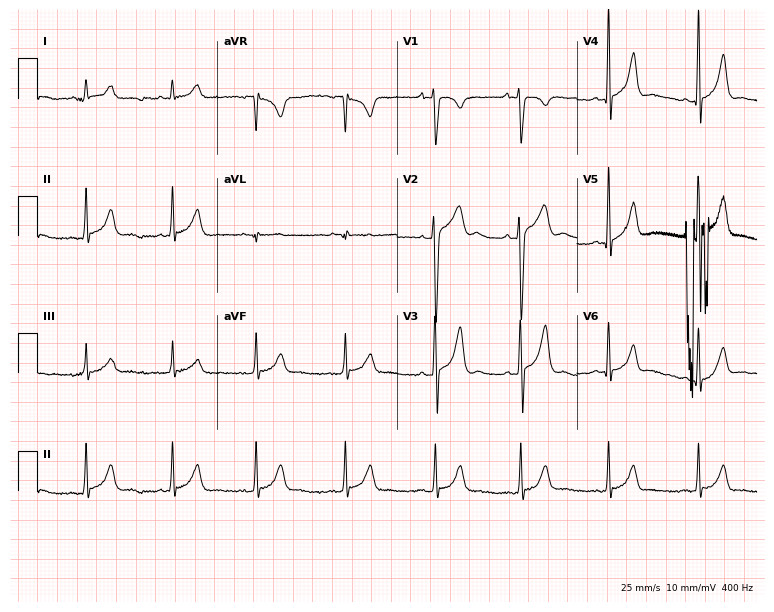
Standard 12-lead ECG recorded from a 19-year-old male patient. None of these six findings is recorded: first-degree AV block, right bundle branch block, left bundle branch block, sinus bradycardia, atrial fibrillation, sinus tachycardia. Other findings, if any, are not listed.